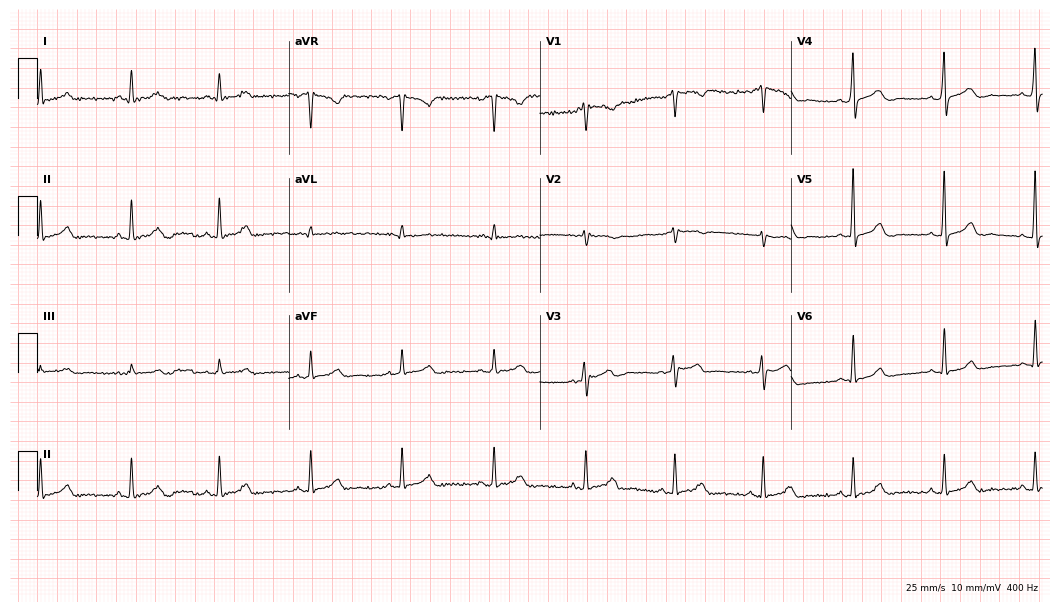
12-lead ECG from a female patient, 47 years old. Labelled as a normal ECG.